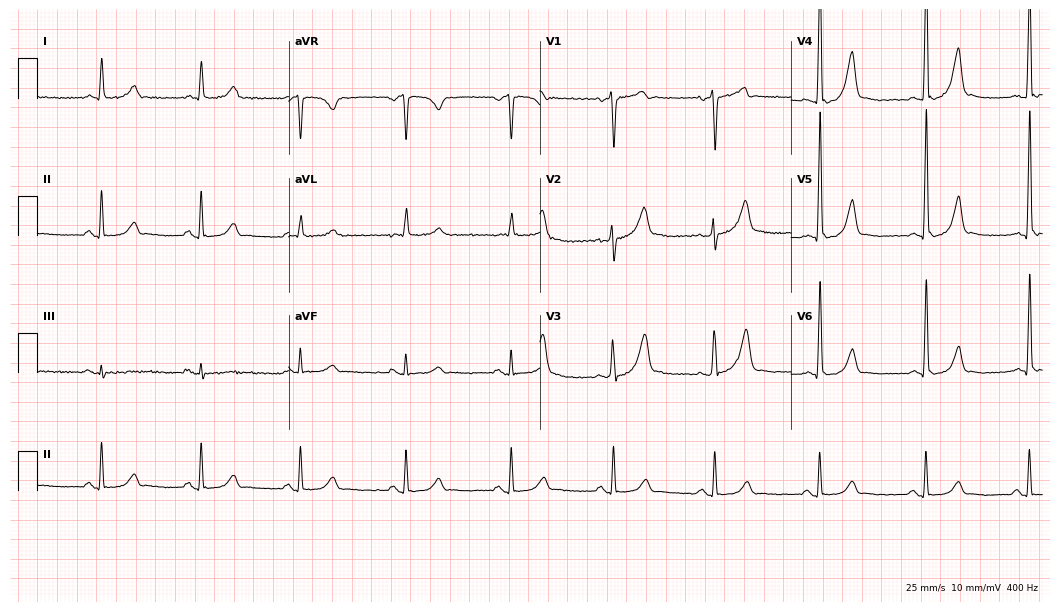
ECG — a 50-year-old man. Labelled as a normal ECG.